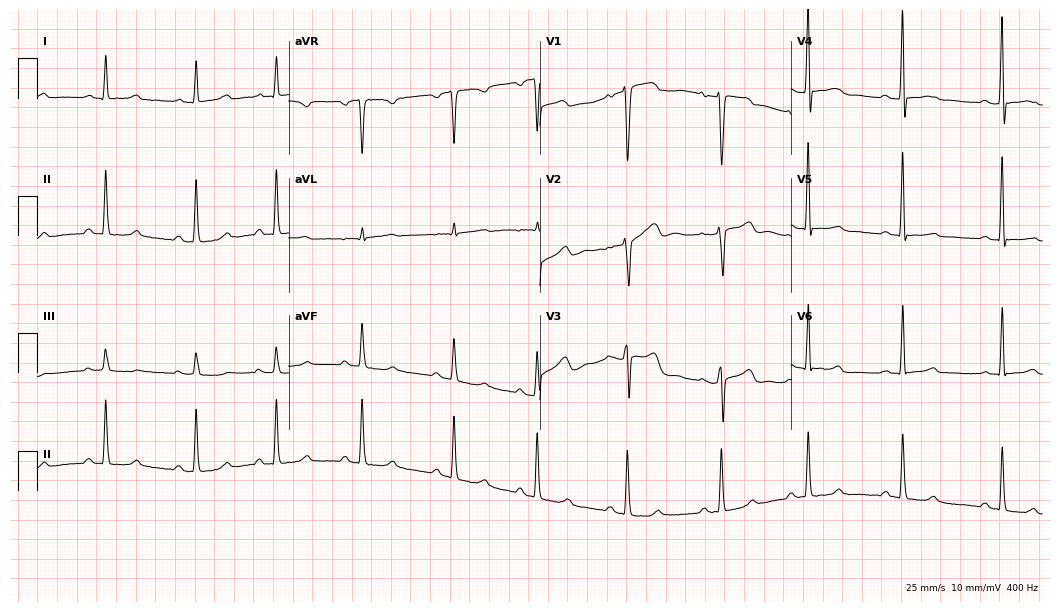
12-lead ECG from a 27-year-old female patient. No first-degree AV block, right bundle branch block, left bundle branch block, sinus bradycardia, atrial fibrillation or sinus tachycardia recorded for this tracing.